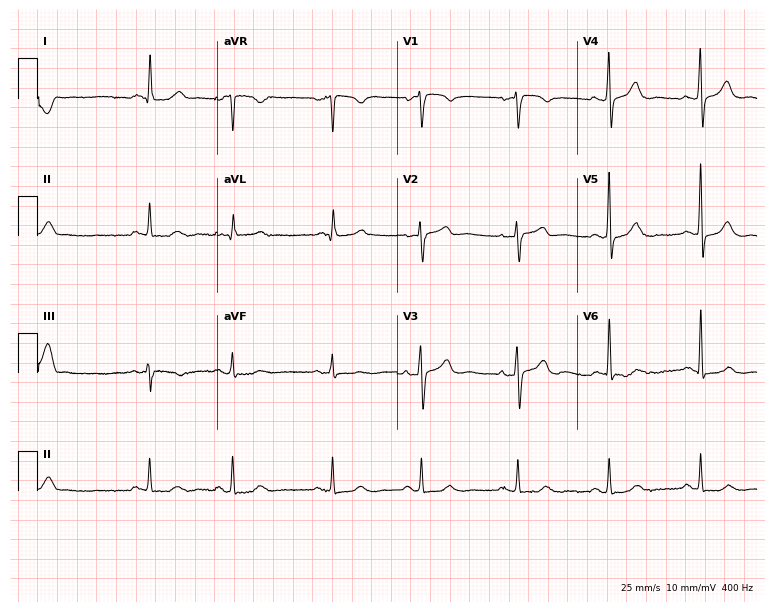
ECG (7.3-second recording at 400 Hz) — a male patient, 79 years old. Screened for six findings — first-degree AV block, right bundle branch block, left bundle branch block, sinus bradycardia, atrial fibrillation, sinus tachycardia — none is recorded. Findings outside these six are not listed.